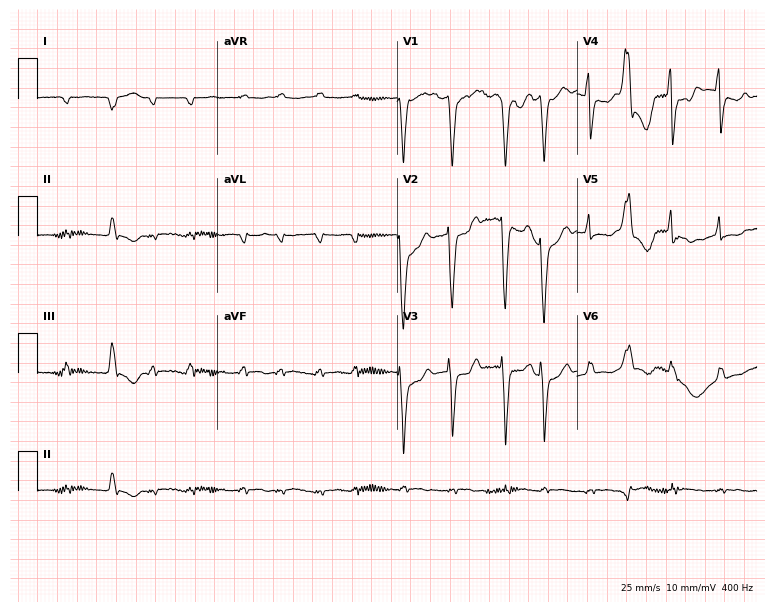
12-lead ECG from a 79-year-old man. Findings include atrial fibrillation (AF).